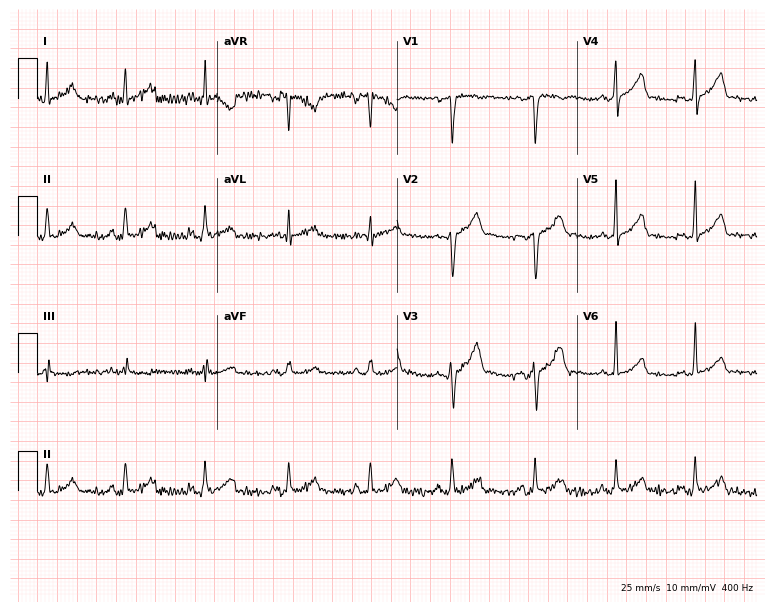
Standard 12-lead ECG recorded from a man, 31 years old (7.3-second recording at 400 Hz). None of these six findings is recorded: first-degree AV block, right bundle branch block (RBBB), left bundle branch block (LBBB), sinus bradycardia, atrial fibrillation (AF), sinus tachycardia. Other findings, if any, are not listed.